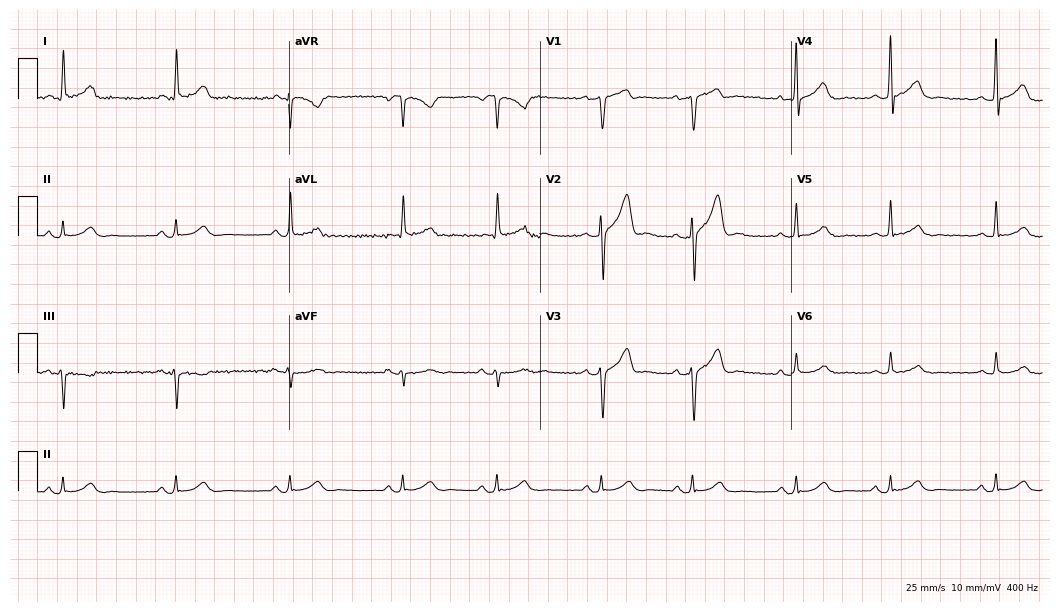
12-lead ECG (10.2-second recording at 400 Hz) from a male patient, 78 years old. Labelled as a normal ECG.